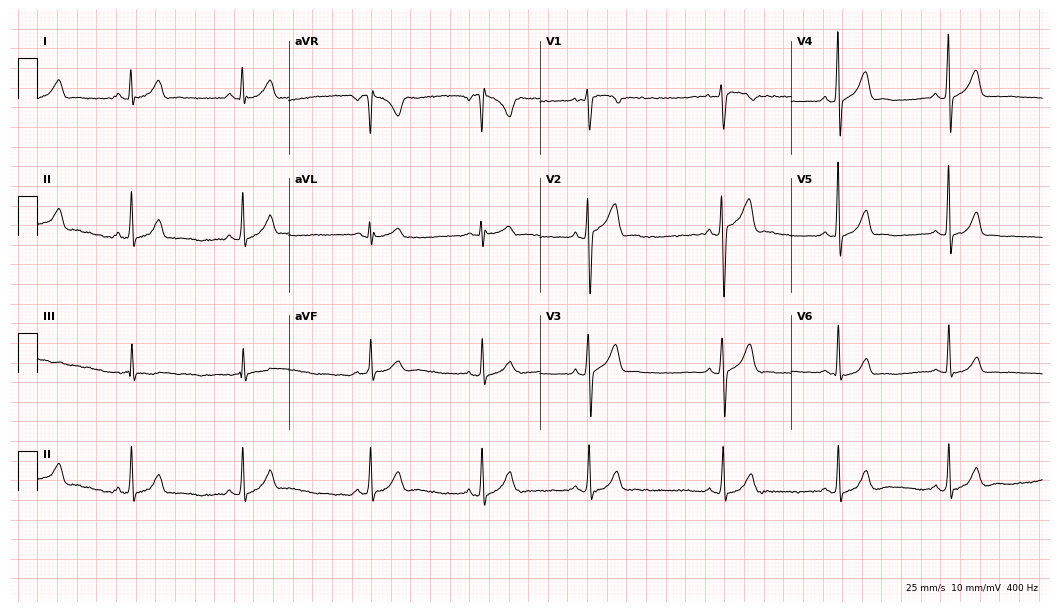
Electrocardiogram (10.2-second recording at 400 Hz), a male, 26 years old. Of the six screened findings (first-degree AV block, right bundle branch block, left bundle branch block, sinus bradycardia, atrial fibrillation, sinus tachycardia), none is recorded. Findings outside these six are not listed.